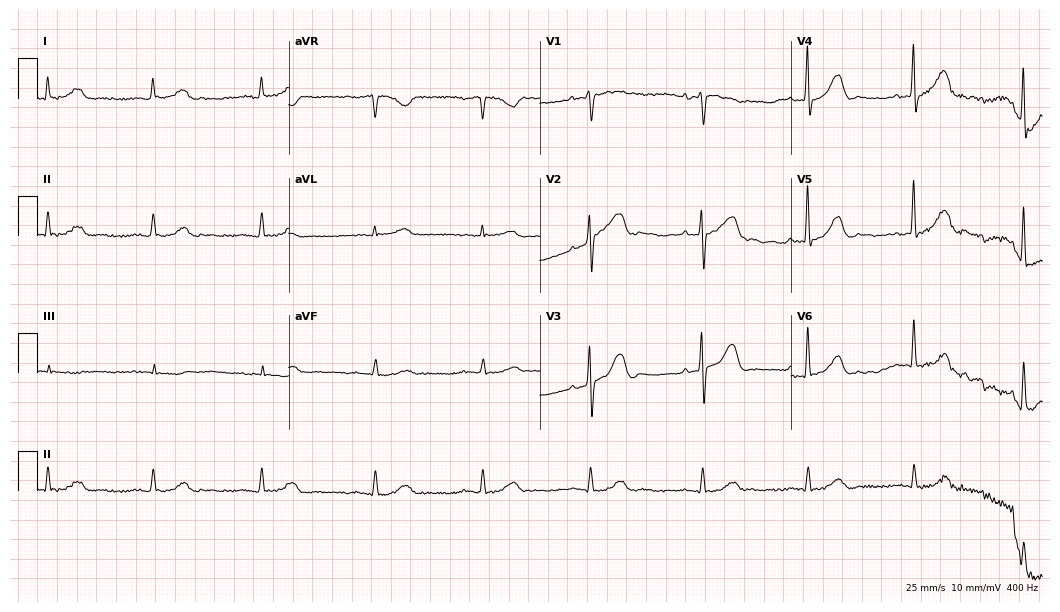
ECG (10.2-second recording at 400 Hz) — a 72-year-old female. Labelled as a normal ECG.